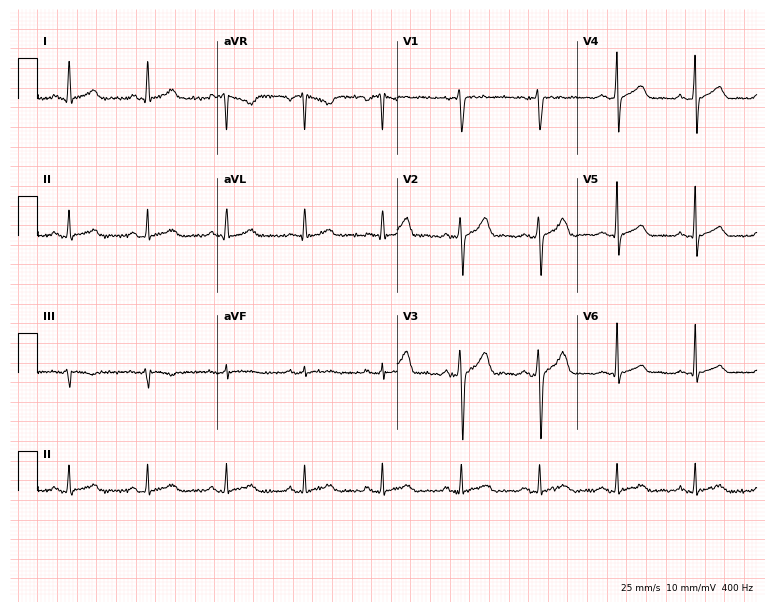
ECG (7.3-second recording at 400 Hz) — a man, 27 years old. Labelled as a normal ECG.